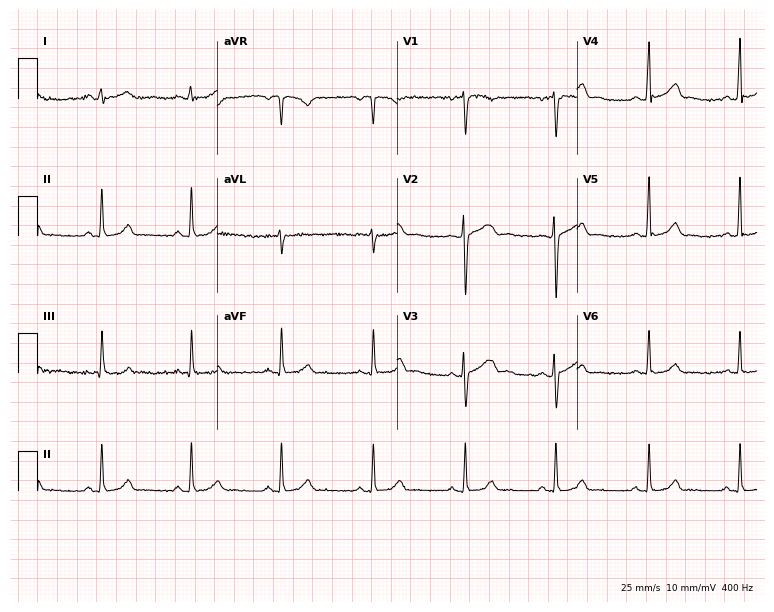
12-lead ECG from a female, 30 years old. Recorded interpretation: within normal limits.